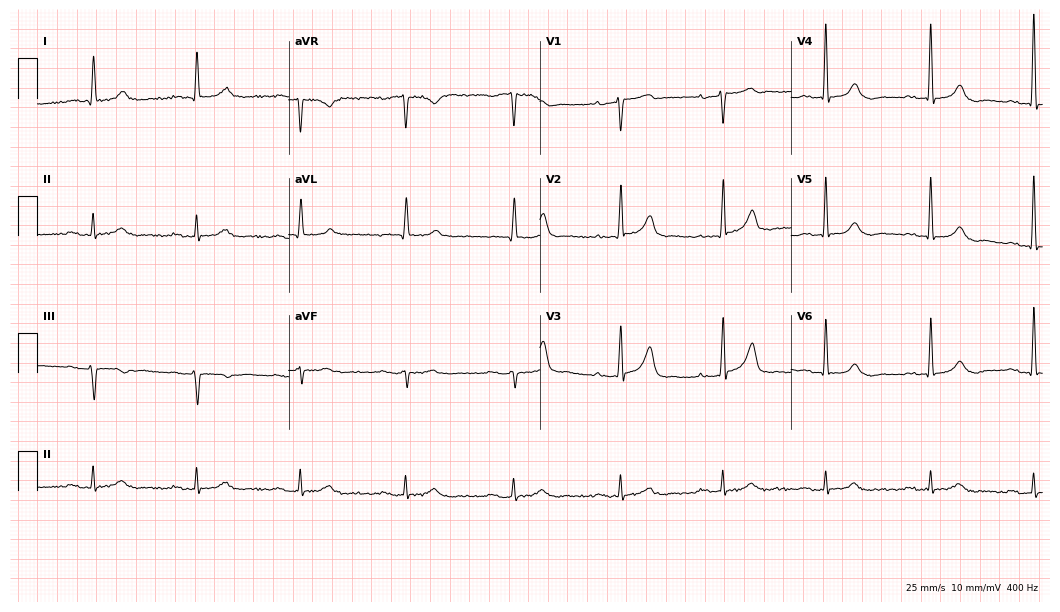
Electrocardiogram, a man, 69 years old. Interpretation includes first-degree AV block.